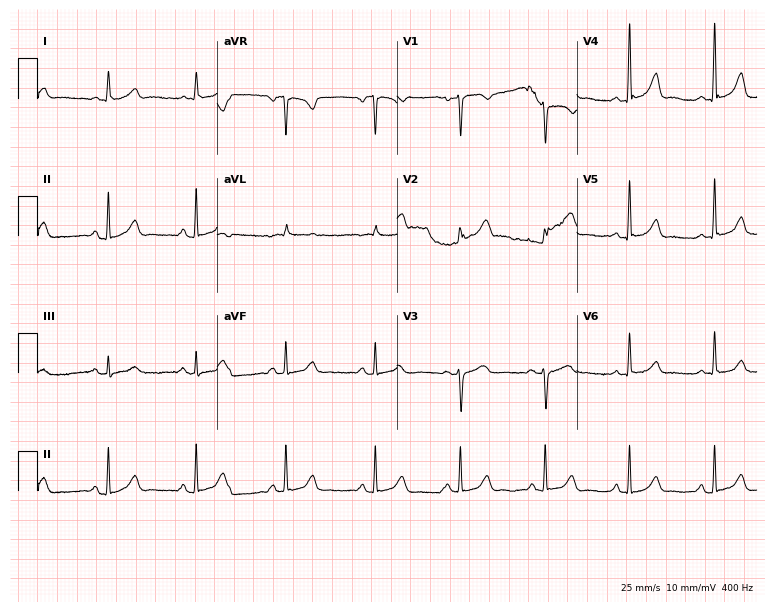
ECG — a female, 61 years old. Labelled as a normal ECG.